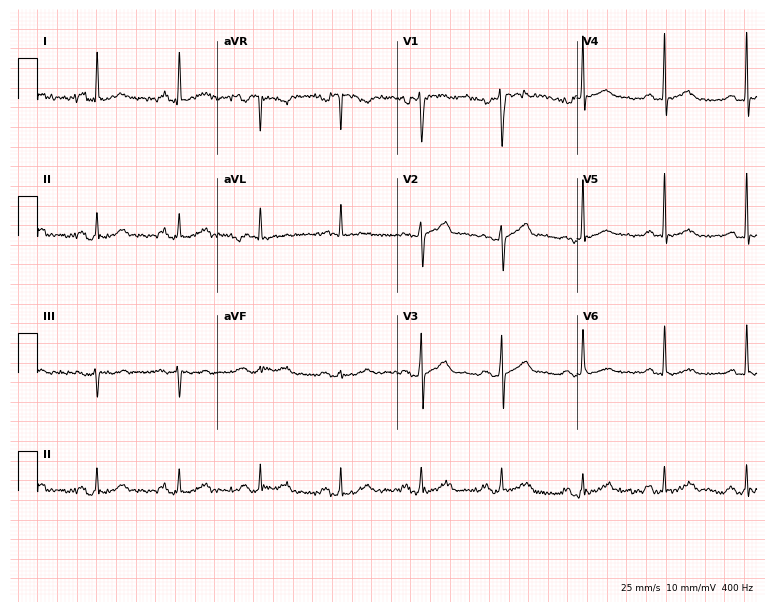
12-lead ECG from a man, 48 years old. Screened for six findings — first-degree AV block, right bundle branch block (RBBB), left bundle branch block (LBBB), sinus bradycardia, atrial fibrillation (AF), sinus tachycardia — none is recorded.